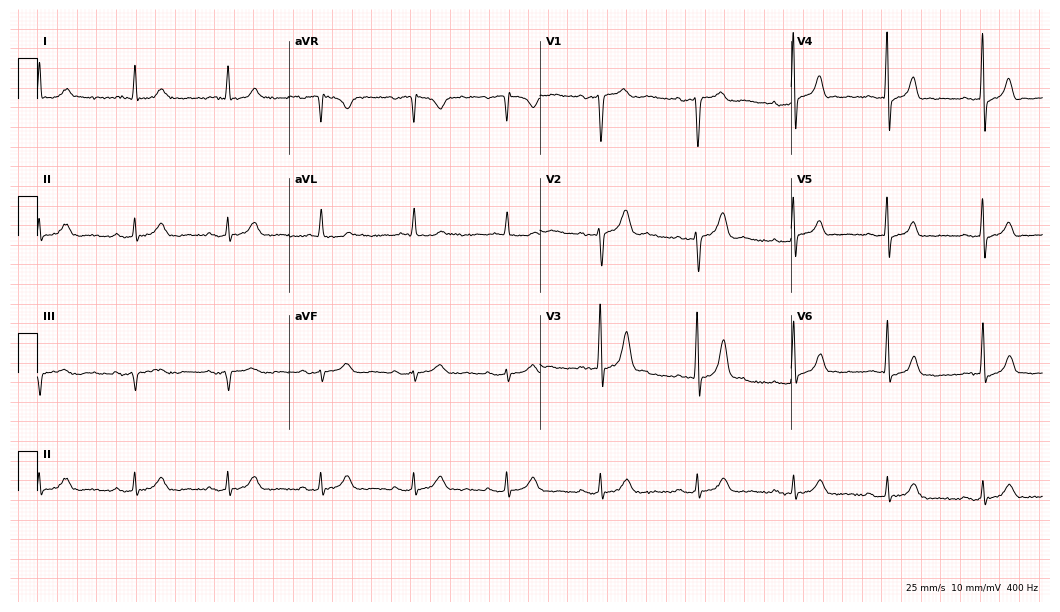
Standard 12-lead ECG recorded from an 83-year-old female. Read as a normal ECG.